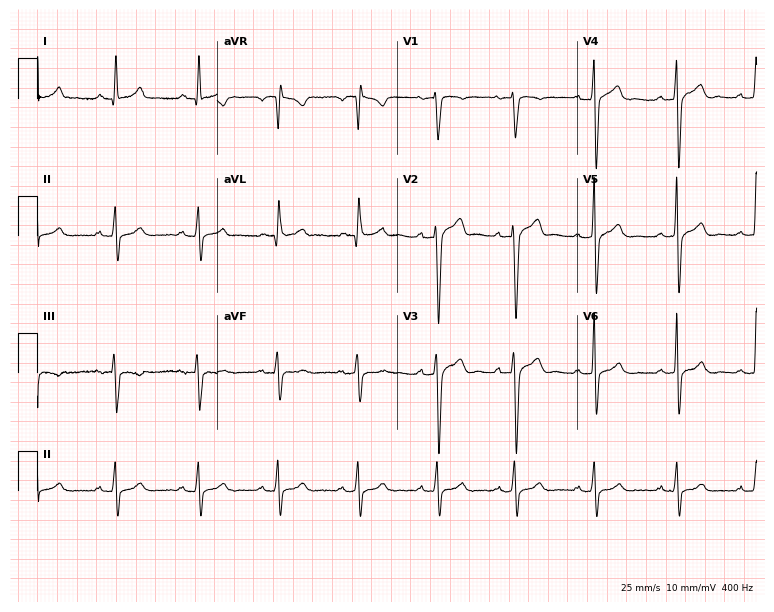
Electrocardiogram (7.3-second recording at 400 Hz), a 46-year-old man. Of the six screened findings (first-degree AV block, right bundle branch block (RBBB), left bundle branch block (LBBB), sinus bradycardia, atrial fibrillation (AF), sinus tachycardia), none is recorded.